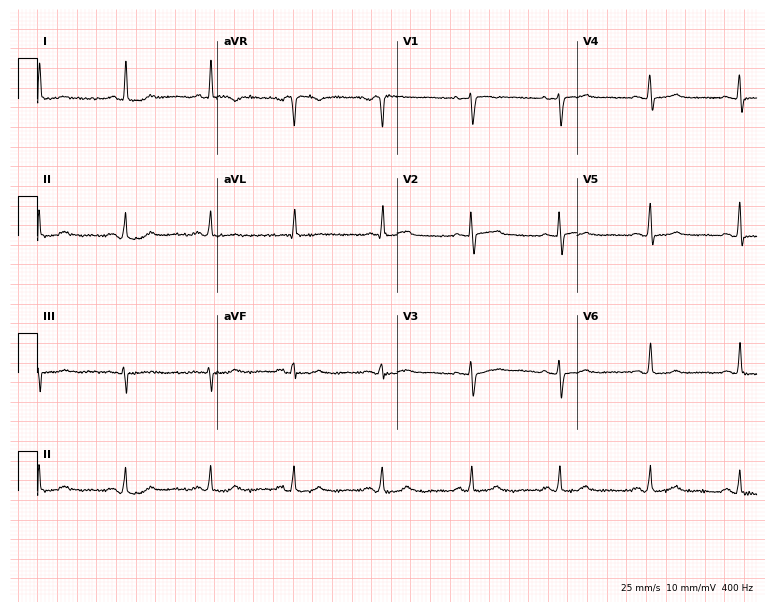
Standard 12-lead ECG recorded from a female, 39 years old (7.3-second recording at 400 Hz). None of these six findings is recorded: first-degree AV block, right bundle branch block (RBBB), left bundle branch block (LBBB), sinus bradycardia, atrial fibrillation (AF), sinus tachycardia. Only these six findings were labelled.